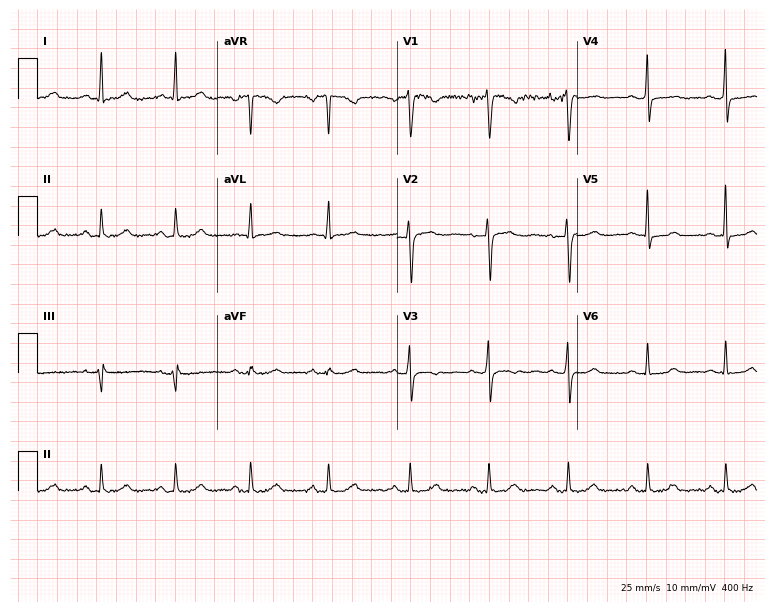
ECG — a female, 40 years old. Screened for six findings — first-degree AV block, right bundle branch block (RBBB), left bundle branch block (LBBB), sinus bradycardia, atrial fibrillation (AF), sinus tachycardia — none is recorded. Only these six findings were labelled.